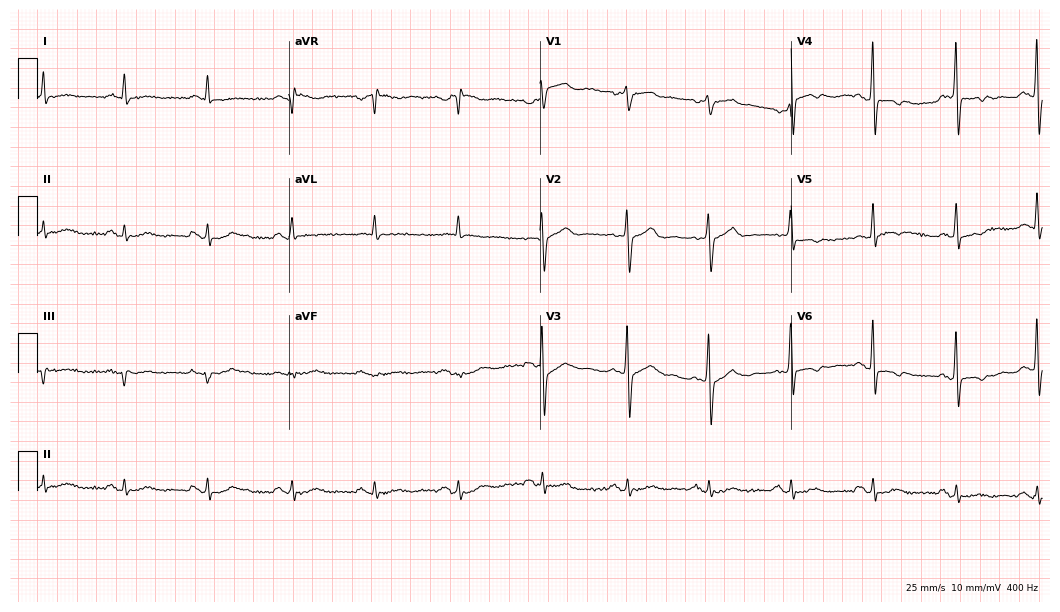
12-lead ECG (10.2-second recording at 400 Hz) from a 71-year-old male. Screened for six findings — first-degree AV block, right bundle branch block, left bundle branch block, sinus bradycardia, atrial fibrillation, sinus tachycardia — none is recorded. Only these six findings were labelled.